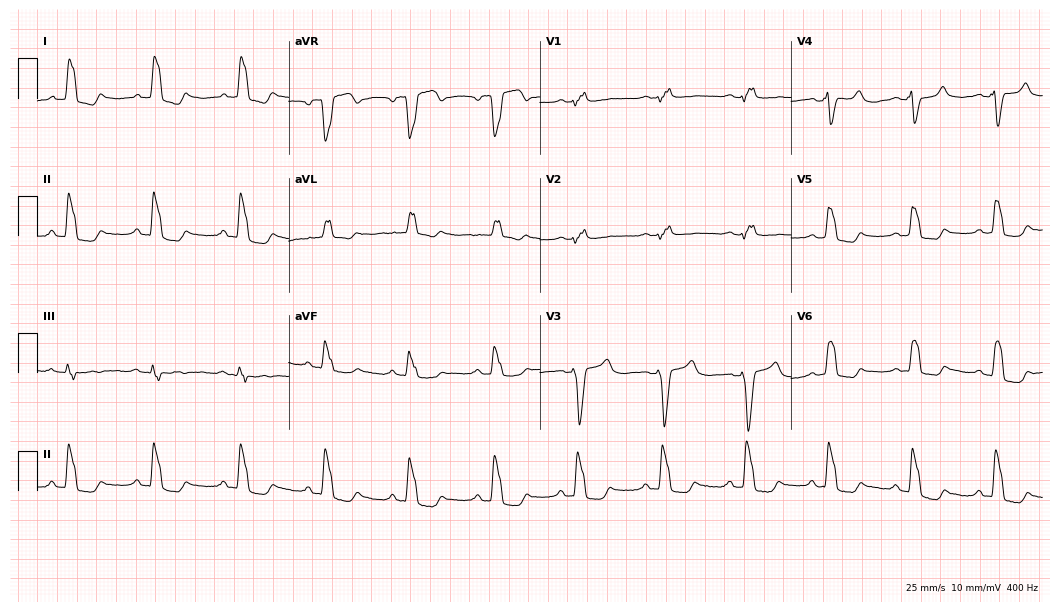
Standard 12-lead ECG recorded from a 70-year-old female (10.2-second recording at 400 Hz). None of these six findings is recorded: first-degree AV block, right bundle branch block (RBBB), left bundle branch block (LBBB), sinus bradycardia, atrial fibrillation (AF), sinus tachycardia.